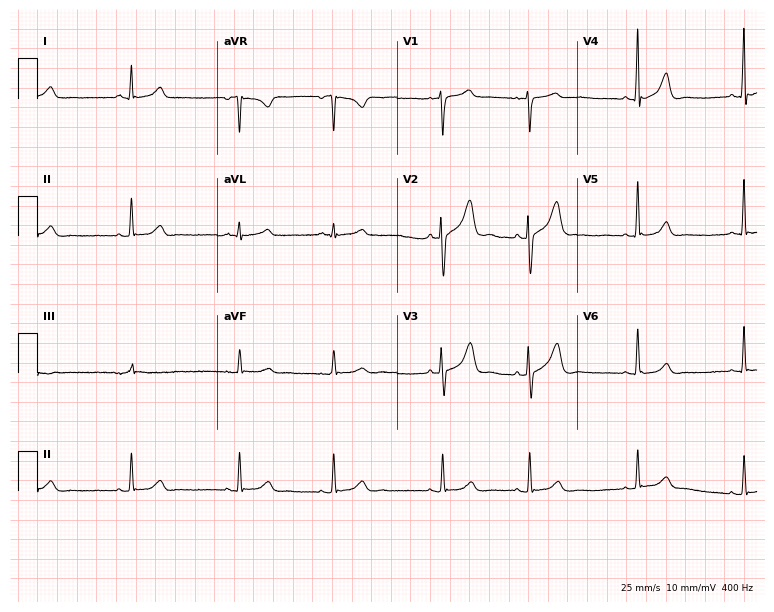
Electrocardiogram, a 35-year-old female patient. Overall reading on record: normal ECG.